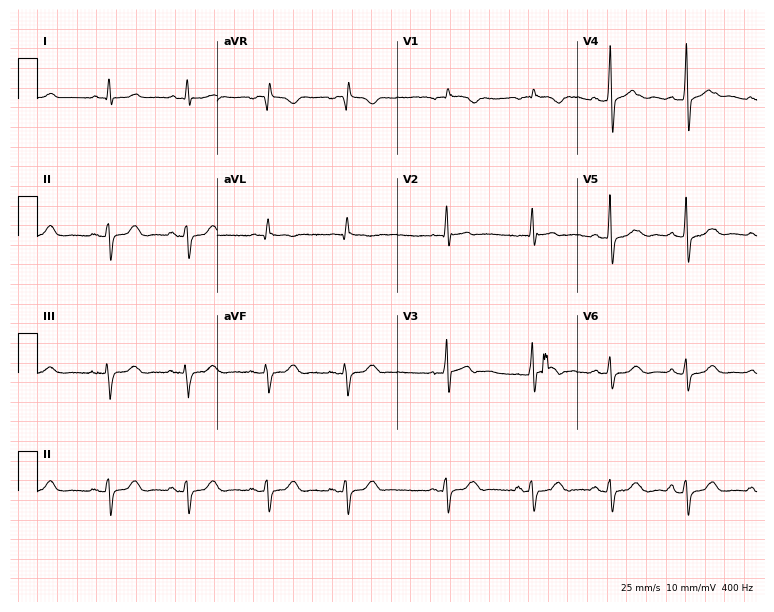
ECG (7.3-second recording at 400 Hz) — a woman, 67 years old. Screened for six findings — first-degree AV block, right bundle branch block, left bundle branch block, sinus bradycardia, atrial fibrillation, sinus tachycardia — none is recorded. Findings outside these six are not listed.